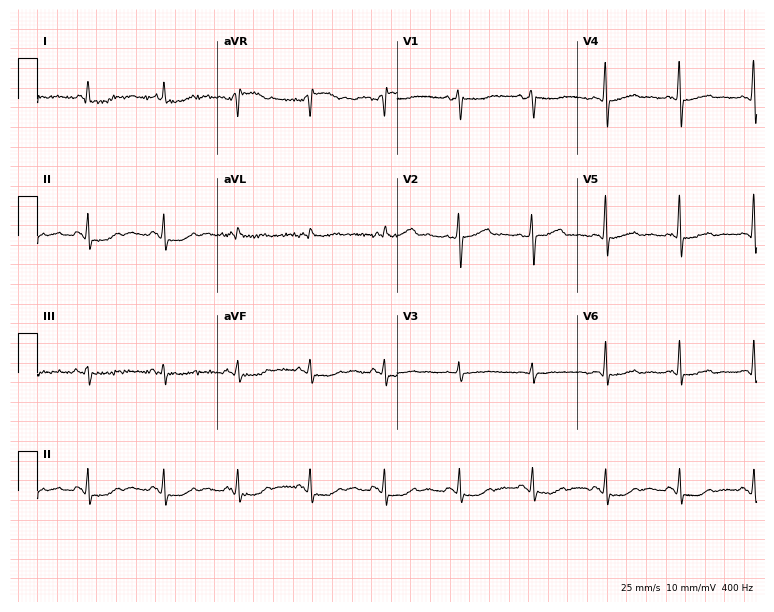
Resting 12-lead electrocardiogram (7.3-second recording at 400 Hz). Patient: a 49-year-old female. None of these six findings is recorded: first-degree AV block, right bundle branch block, left bundle branch block, sinus bradycardia, atrial fibrillation, sinus tachycardia.